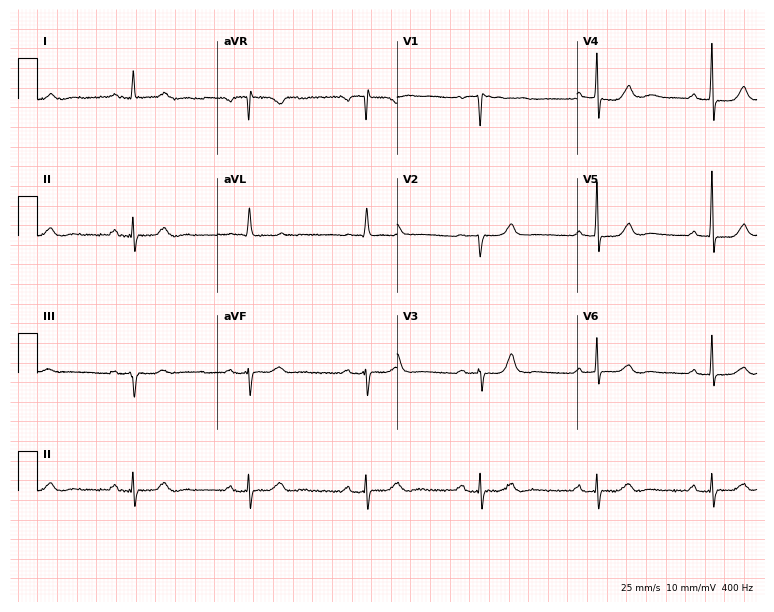
Standard 12-lead ECG recorded from a 73-year-old female (7.3-second recording at 400 Hz). None of these six findings is recorded: first-degree AV block, right bundle branch block (RBBB), left bundle branch block (LBBB), sinus bradycardia, atrial fibrillation (AF), sinus tachycardia.